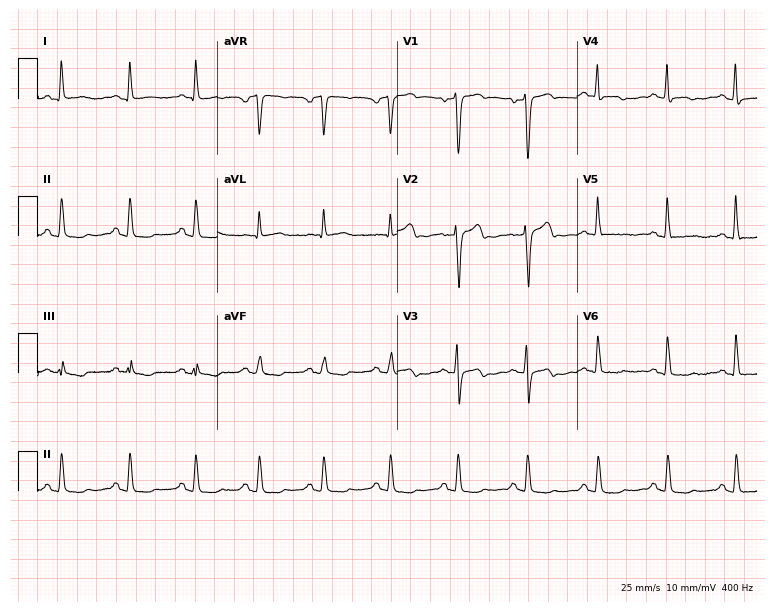
12-lead ECG from a 48-year-old male patient (7.3-second recording at 400 Hz). No first-degree AV block, right bundle branch block (RBBB), left bundle branch block (LBBB), sinus bradycardia, atrial fibrillation (AF) or sinus tachycardia recorded for this tracing.